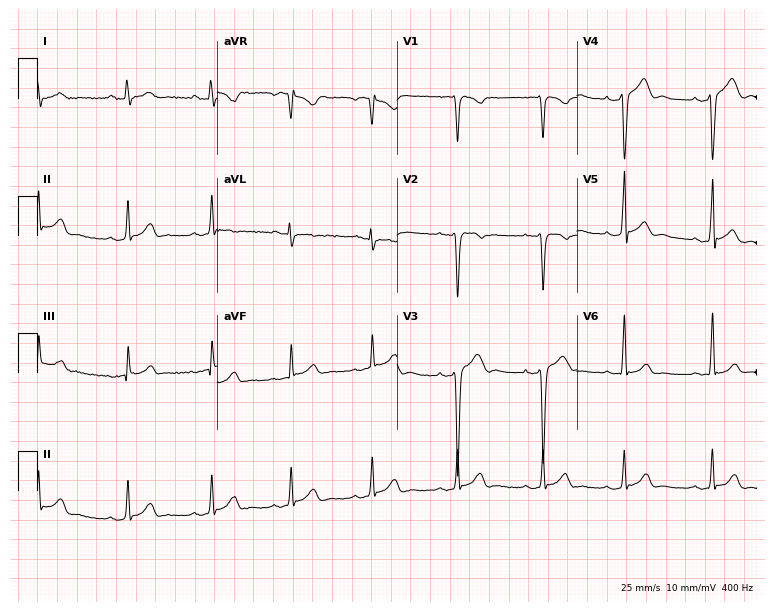
12-lead ECG (7.3-second recording at 400 Hz) from a male, 27 years old. Screened for six findings — first-degree AV block, right bundle branch block, left bundle branch block, sinus bradycardia, atrial fibrillation, sinus tachycardia — none is recorded. Other findings, if any, are not listed.